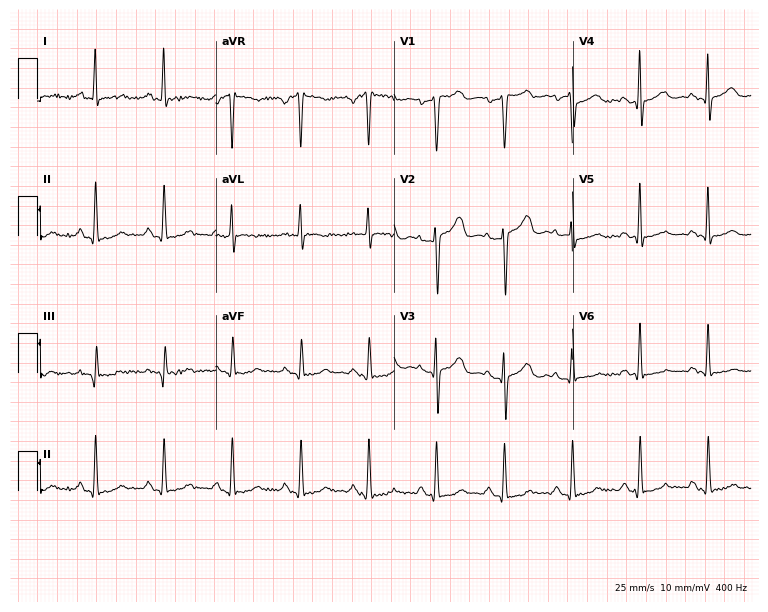
12-lead ECG (7.3-second recording at 400 Hz) from a woman, 44 years old. Labelled as a normal ECG.